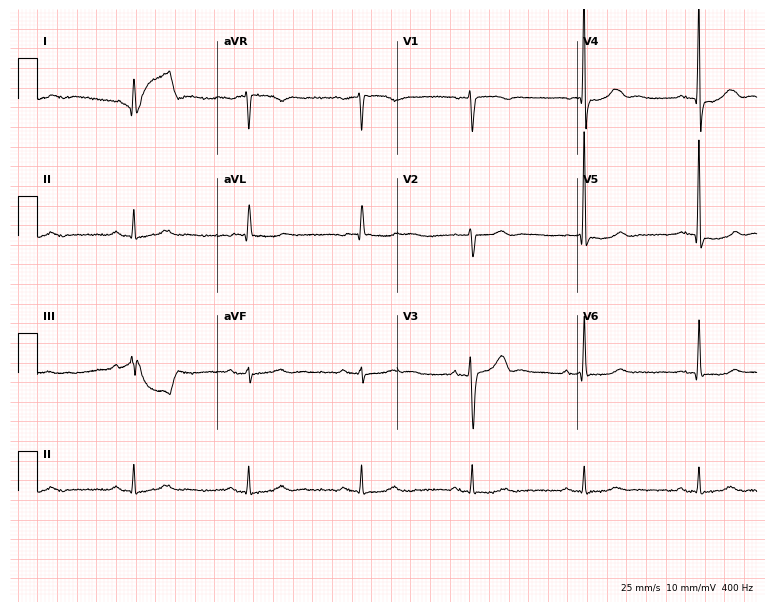
Electrocardiogram, a 71-year-old male. Of the six screened findings (first-degree AV block, right bundle branch block, left bundle branch block, sinus bradycardia, atrial fibrillation, sinus tachycardia), none is recorded. Only these six findings were labelled.